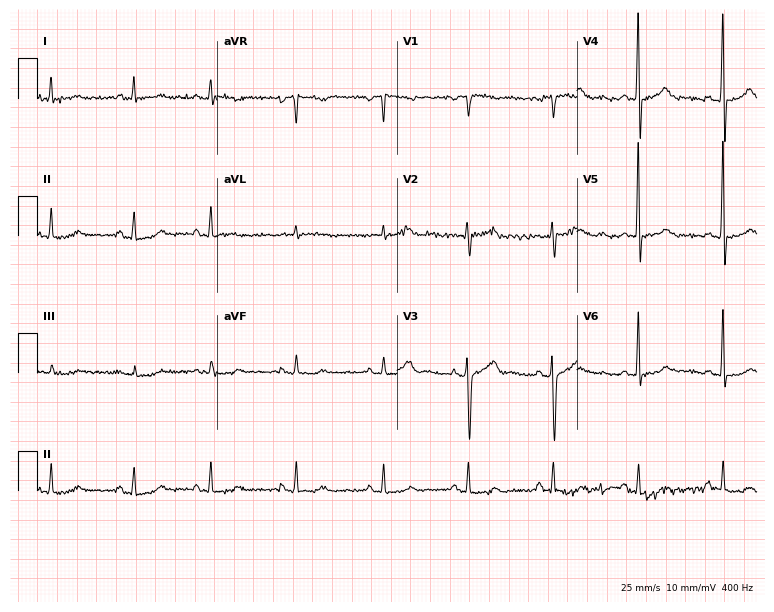
Electrocardiogram (7.3-second recording at 400 Hz), a male patient, 78 years old. Of the six screened findings (first-degree AV block, right bundle branch block (RBBB), left bundle branch block (LBBB), sinus bradycardia, atrial fibrillation (AF), sinus tachycardia), none is recorded.